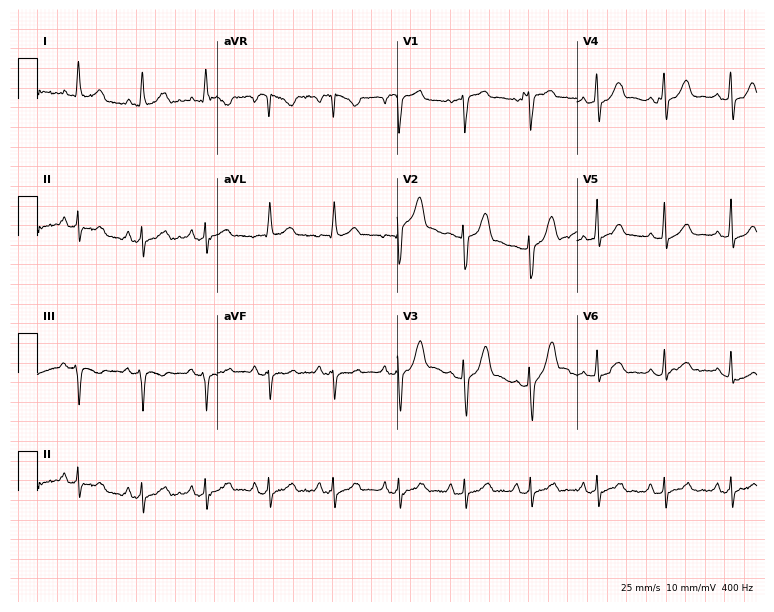
Resting 12-lead electrocardiogram (7.3-second recording at 400 Hz). Patient: a 70-year-old man. Read as a normal ECG.